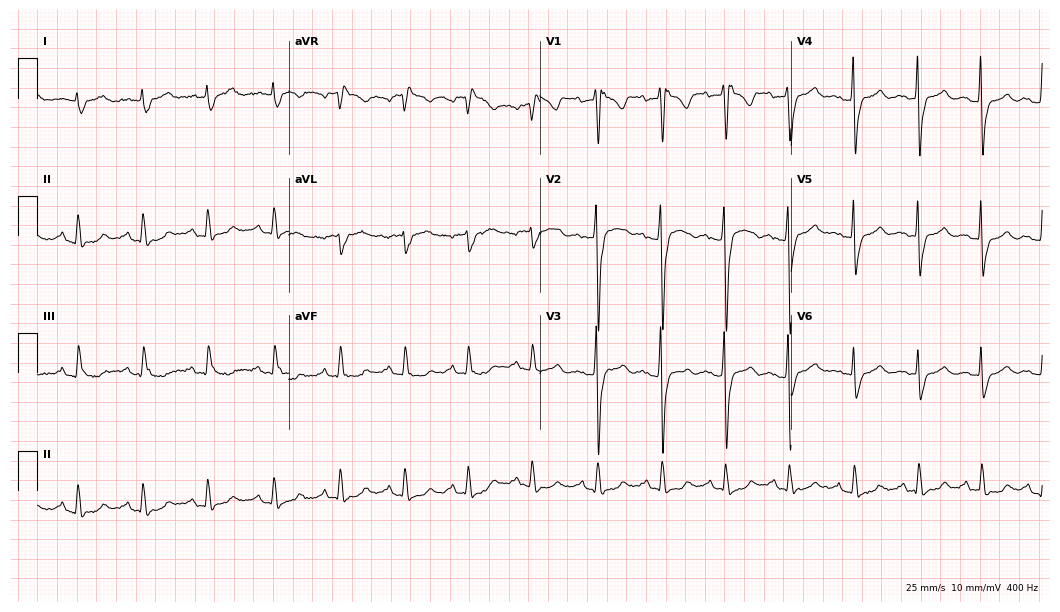
Electrocardiogram, an 85-year-old male. Interpretation includes right bundle branch block (RBBB).